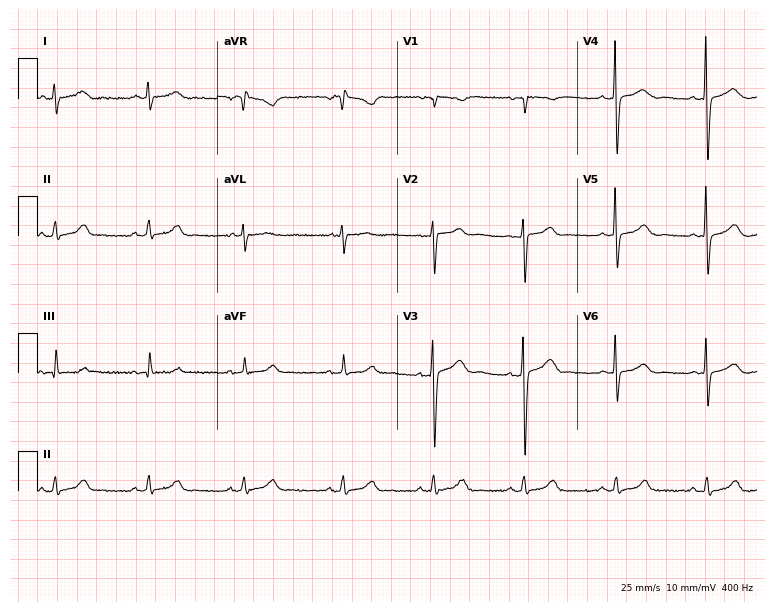
12-lead ECG from a female patient, 43 years old. Labelled as a normal ECG.